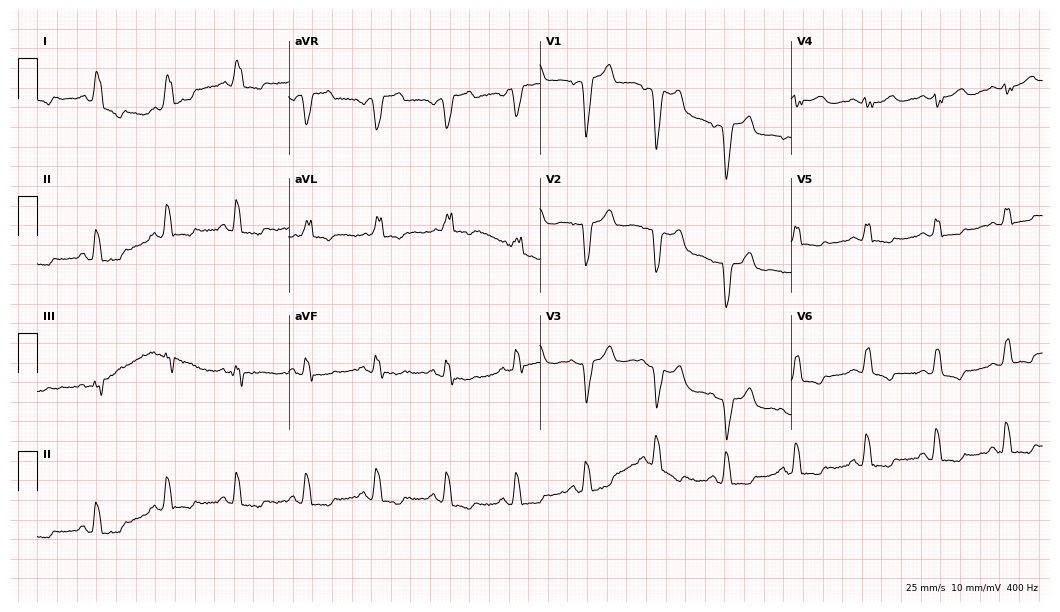
Electrocardiogram (10.2-second recording at 400 Hz), a male, 68 years old. Interpretation includes left bundle branch block (LBBB).